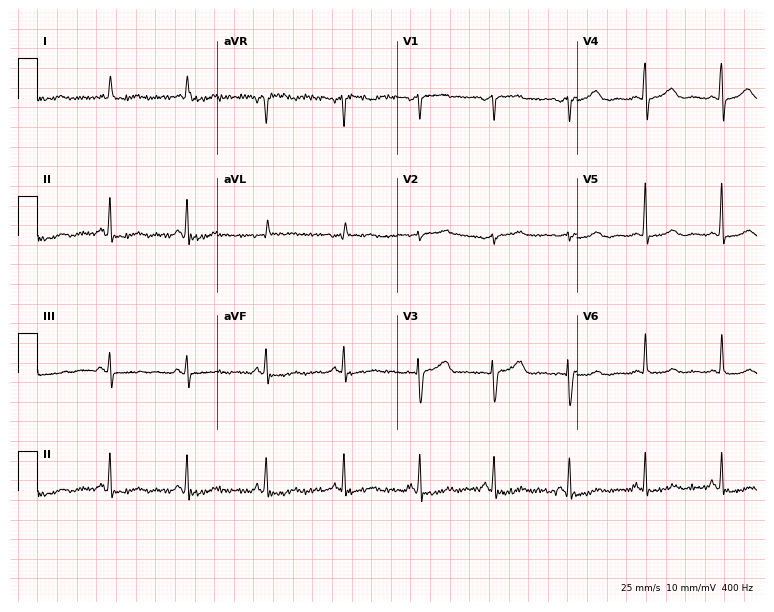
Standard 12-lead ECG recorded from a 51-year-old female patient (7.3-second recording at 400 Hz). None of these six findings is recorded: first-degree AV block, right bundle branch block (RBBB), left bundle branch block (LBBB), sinus bradycardia, atrial fibrillation (AF), sinus tachycardia.